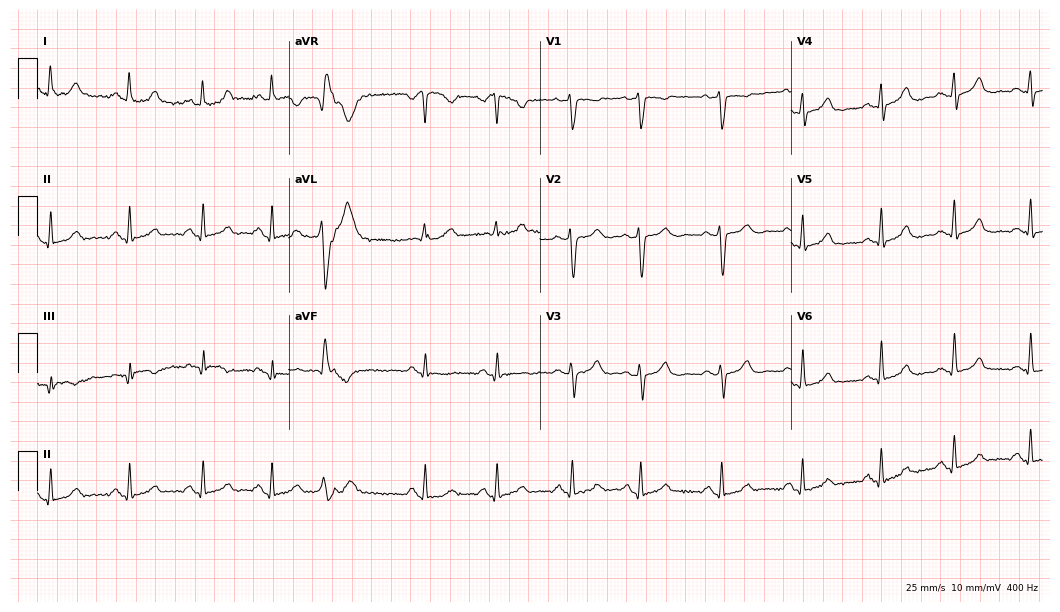
ECG (10.2-second recording at 400 Hz) — a 55-year-old female. Screened for six findings — first-degree AV block, right bundle branch block, left bundle branch block, sinus bradycardia, atrial fibrillation, sinus tachycardia — none is recorded. Only these six findings were labelled.